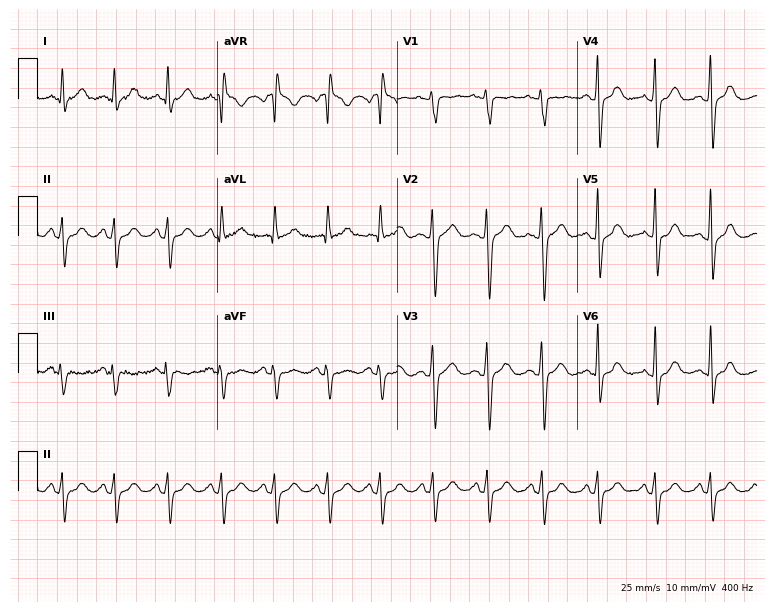
Electrocardiogram (7.3-second recording at 400 Hz), a female, 42 years old. Interpretation includes sinus tachycardia (a sinus rate of 100 beats per minute or more).